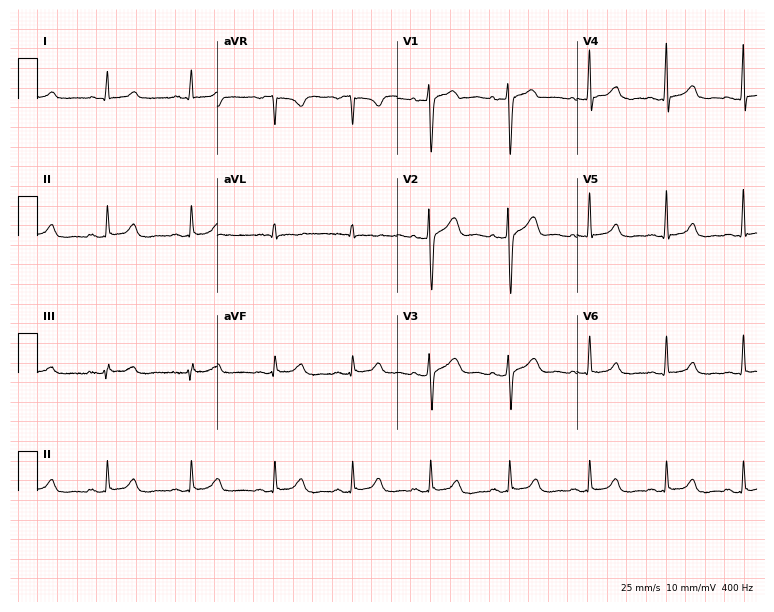
12-lead ECG from a 32-year-old female. Labelled as a normal ECG.